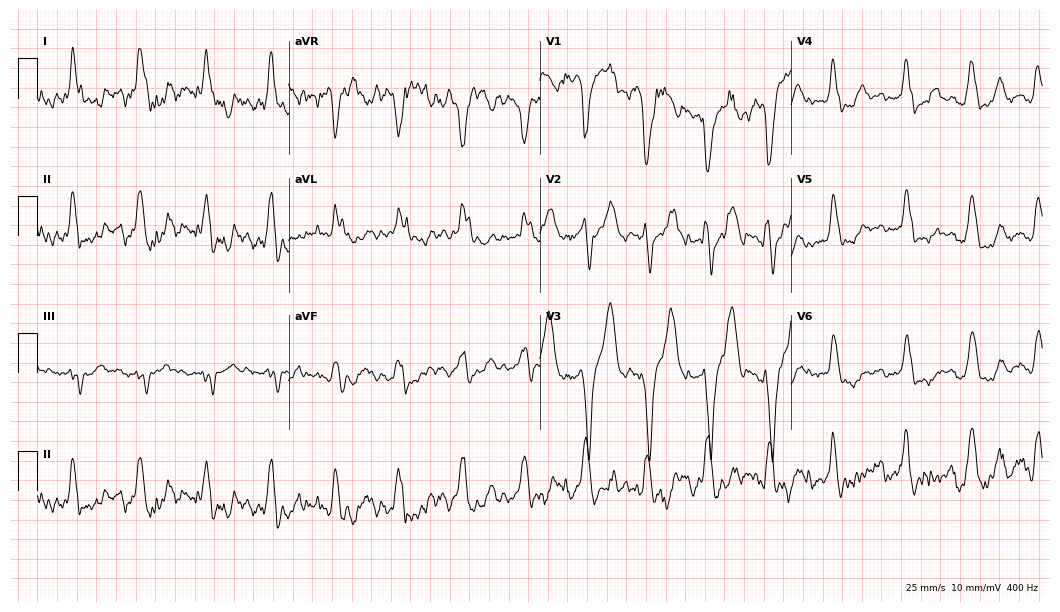
Standard 12-lead ECG recorded from a 79-year-old woman. The tracing shows left bundle branch block (LBBB).